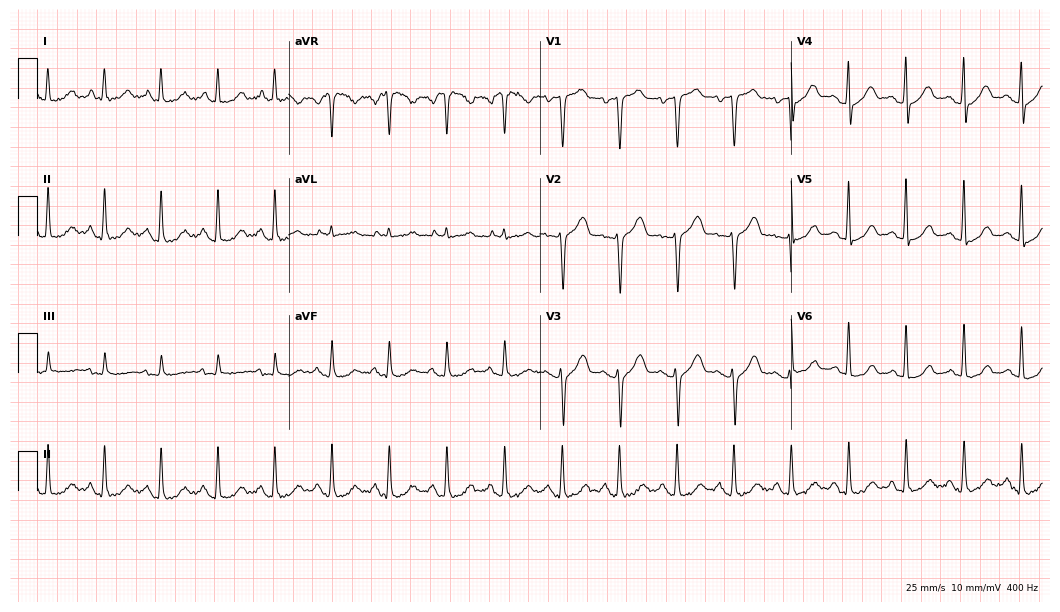
Resting 12-lead electrocardiogram. Patient: a female, 60 years old. None of these six findings is recorded: first-degree AV block, right bundle branch block, left bundle branch block, sinus bradycardia, atrial fibrillation, sinus tachycardia.